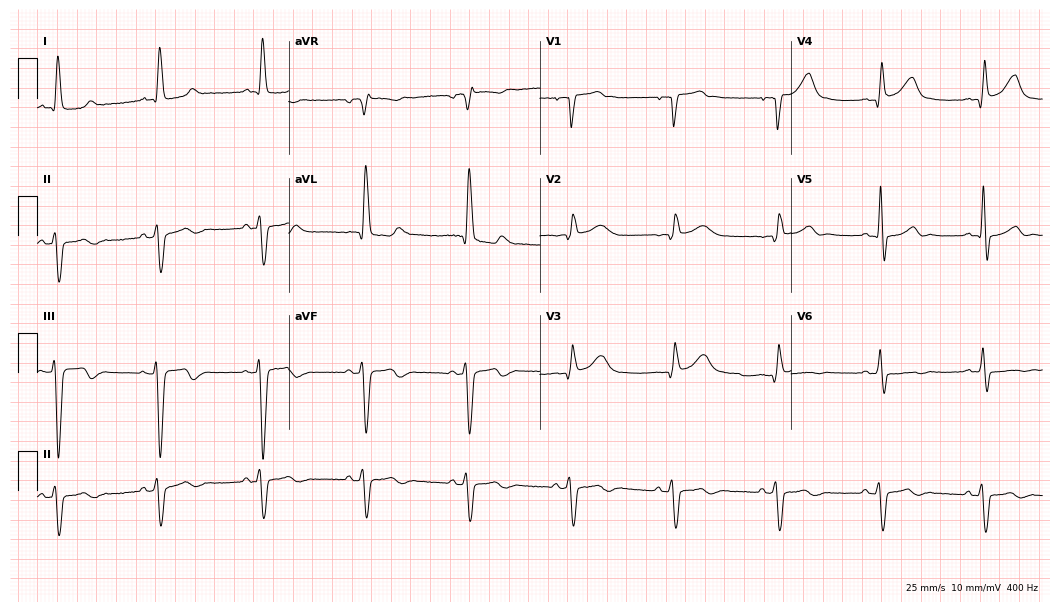
ECG (10.2-second recording at 400 Hz) — a 76-year-old man. Screened for six findings — first-degree AV block, right bundle branch block (RBBB), left bundle branch block (LBBB), sinus bradycardia, atrial fibrillation (AF), sinus tachycardia — none is recorded.